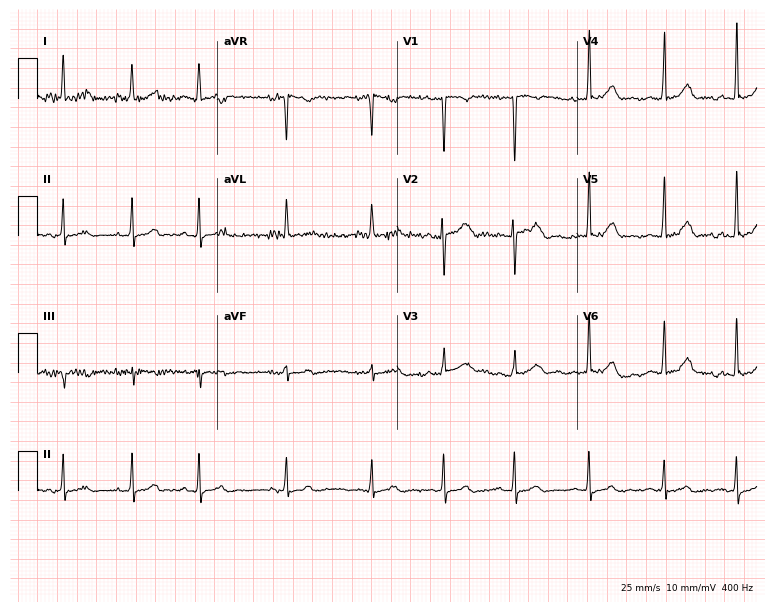
Standard 12-lead ECG recorded from a woman, 23 years old. None of these six findings is recorded: first-degree AV block, right bundle branch block, left bundle branch block, sinus bradycardia, atrial fibrillation, sinus tachycardia.